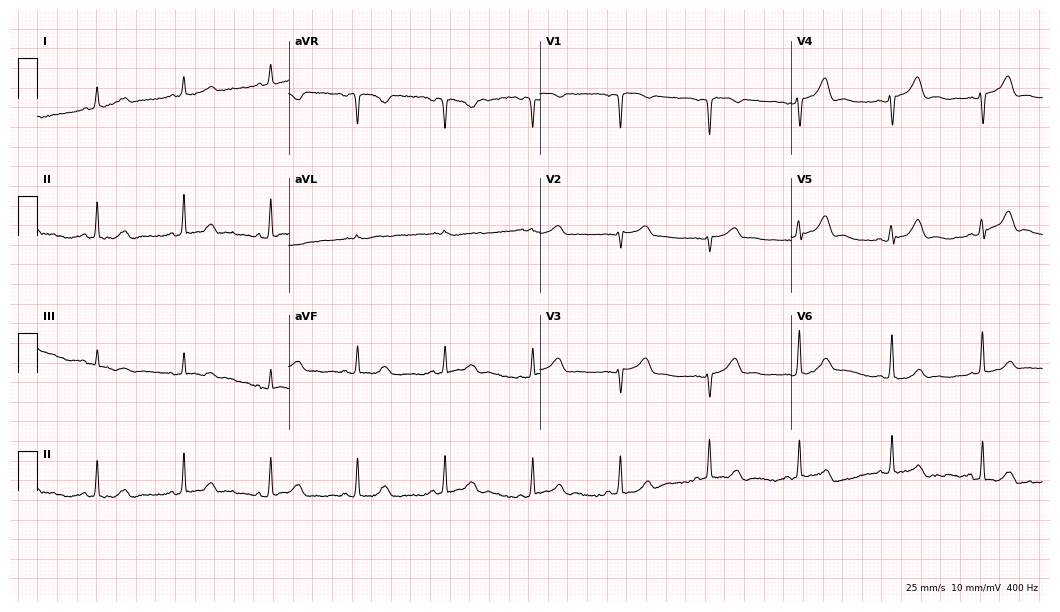
Resting 12-lead electrocardiogram. Patient: a female, 57 years old. Read as a normal ECG.